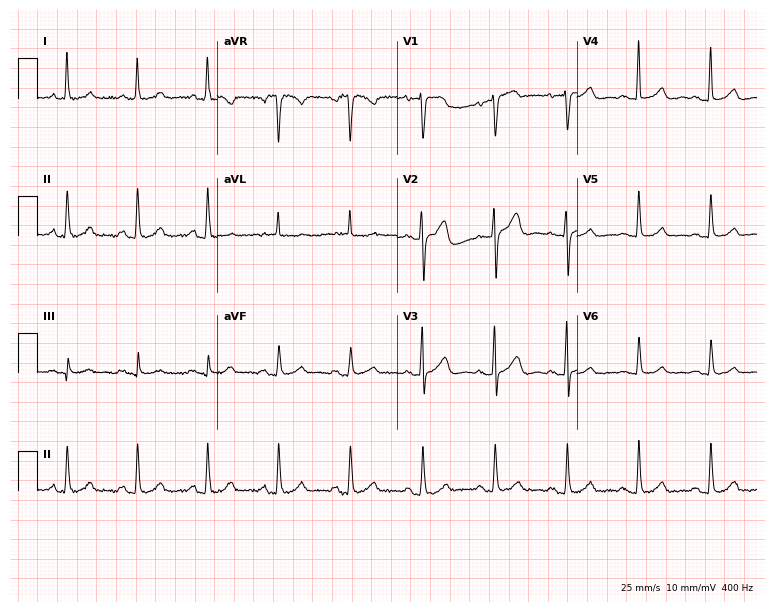
12-lead ECG from a 63-year-old female patient. Screened for six findings — first-degree AV block, right bundle branch block, left bundle branch block, sinus bradycardia, atrial fibrillation, sinus tachycardia — none is recorded. Findings outside these six are not listed.